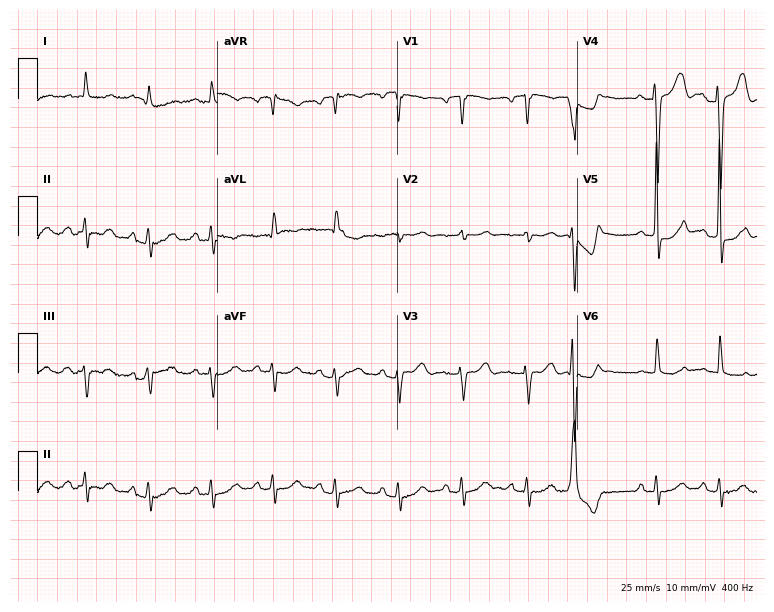
Resting 12-lead electrocardiogram (7.3-second recording at 400 Hz). Patient: a male, 84 years old. None of these six findings is recorded: first-degree AV block, right bundle branch block, left bundle branch block, sinus bradycardia, atrial fibrillation, sinus tachycardia. Only these six findings were labelled.